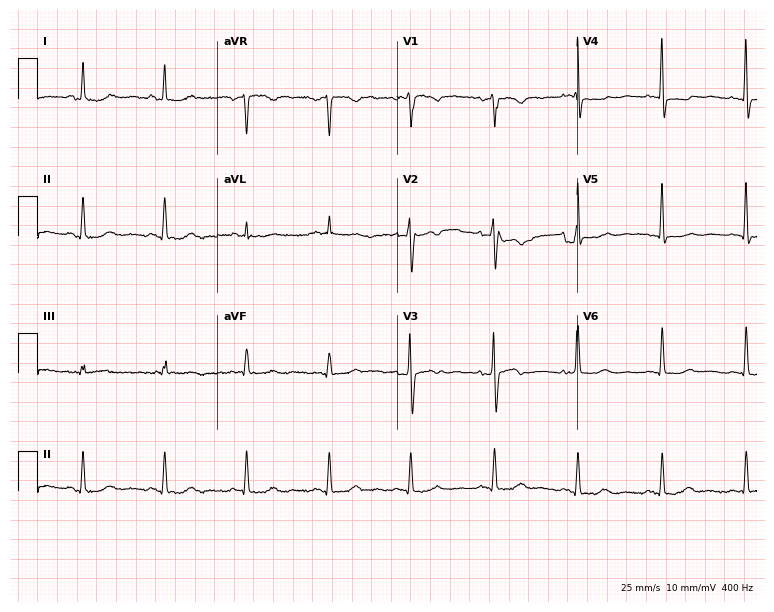
12-lead ECG from a female patient, 66 years old. Screened for six findings — first-degree AV block, right bundle branch block, left bundle branch block, sinus bradycardia, atrial fibrillation, sinus tachycardia — none is recorded. Findings outside these six are not listed.